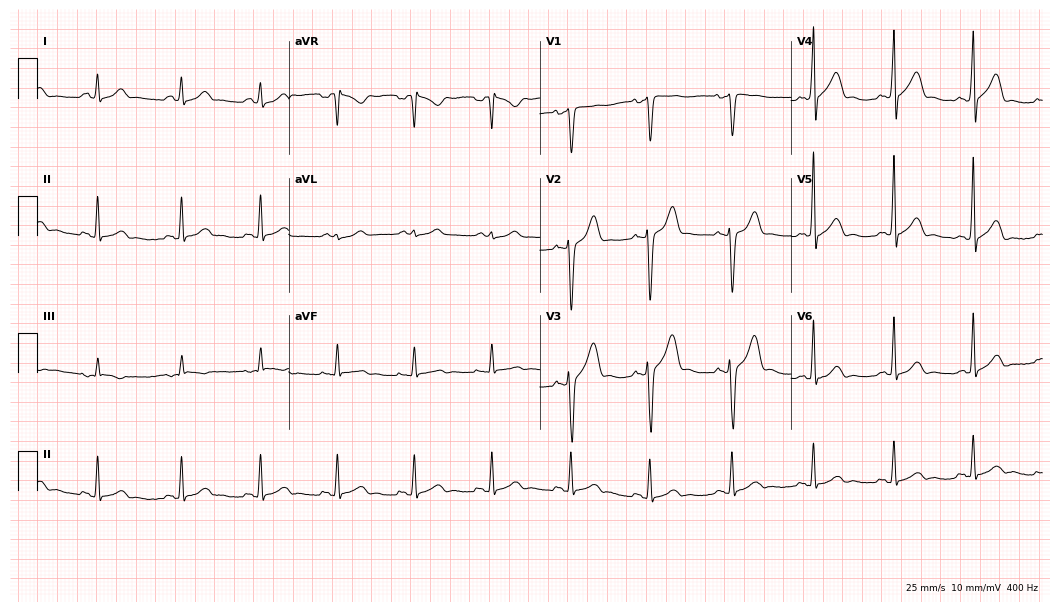
Standard 12-lead ECG recorded from a 48-year-old male patient. Read as a normal ECG.